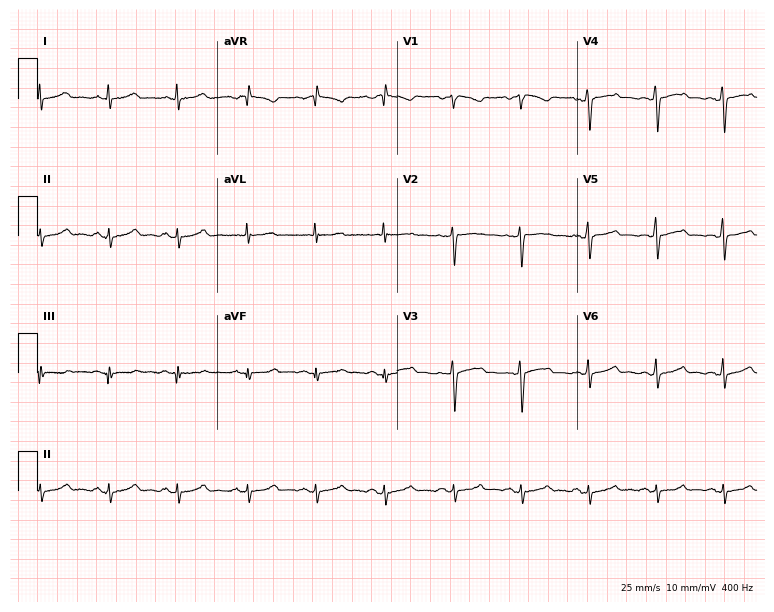
Standard 12-lead ECG recorded from a female, 34 years old. None of these six findings is recorded: first-degree AV block, right bundle branch block, left bundle branch block, sinus bradycardia, atrial fibrillation, sinus tachycardia. Only these six findings were labelled.